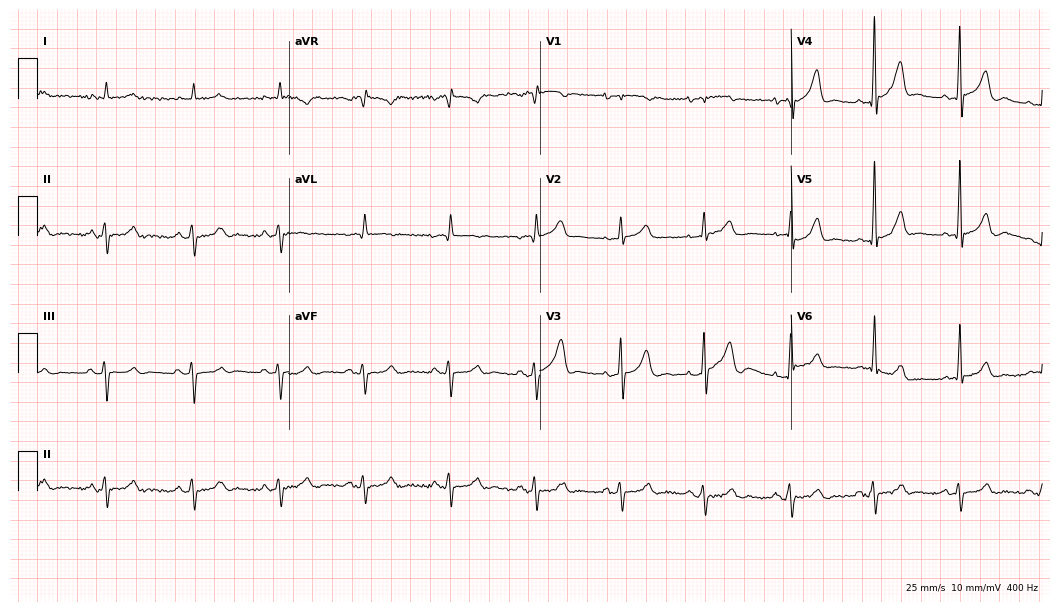
Resting 12-lead electrocardiogram. Patient: a 79-year-old man. None of these six findings is recorded: first-degree AV block, right bundle branch block, left bundle branch block, sinus bradycardia, atrial fibrillation, sinus tachycardia. Other findings, if any, are not listed.